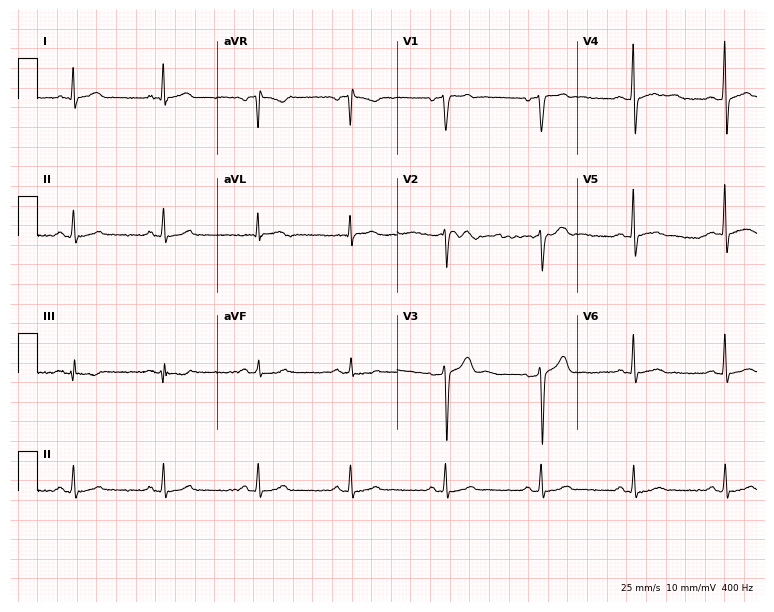
Standard 12-lead ECG recorded from a 47-year-old male patient. None of these six findings is recorded: first-degree AV block, right bundle branch block, left bundle branch block, sinus bradycardia, atrial fibrillation, sinus tachycardia.